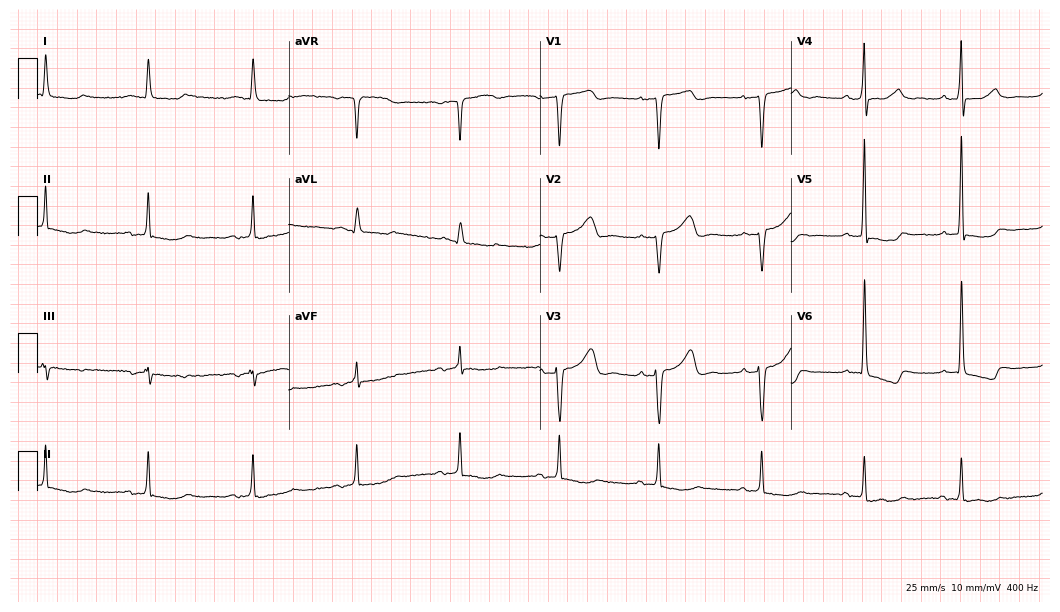
Electrocardiogram (10.2-second recording at 400 Hz), a woman, 64 years old. Of the six screened findings (first-degree AV block, right bundle branch block (RBBB), left bundle branch block (LBBB), sinus bradycardia, atrial fibrillation (AF), sinus tachycardia), none is recorded.